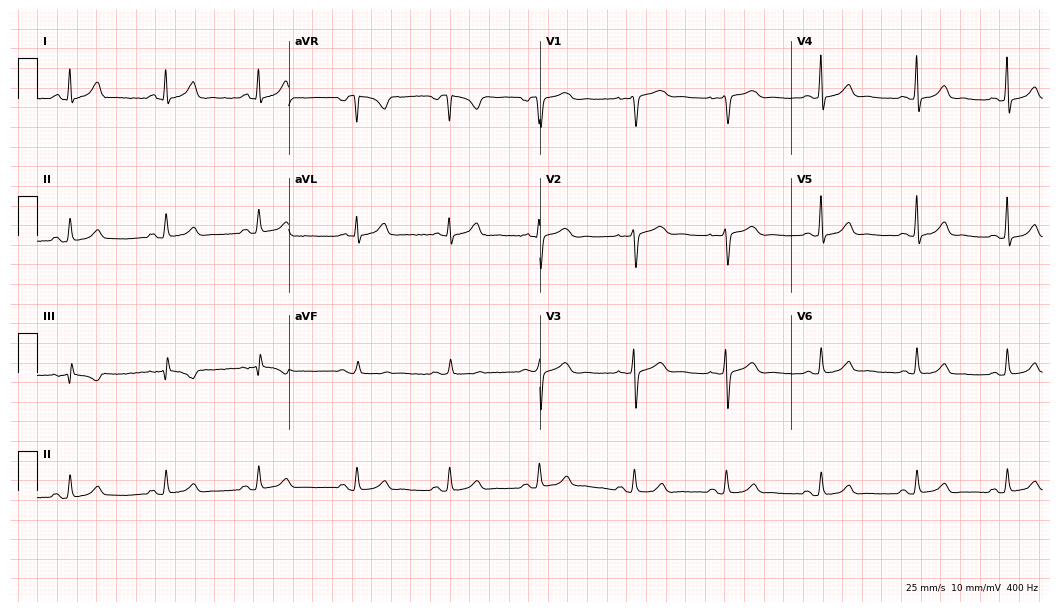
ECG — a 47-year-old woman. Labelled as a normal ECG.